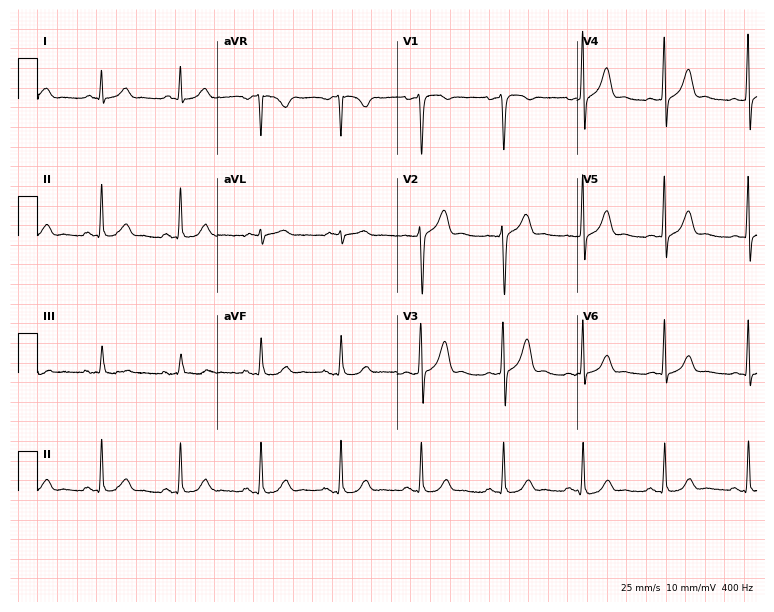
Electrocardiogram (7.3-second recording at 400 Hz), a 58-year-old male. Overall reading on record: normal ECG.